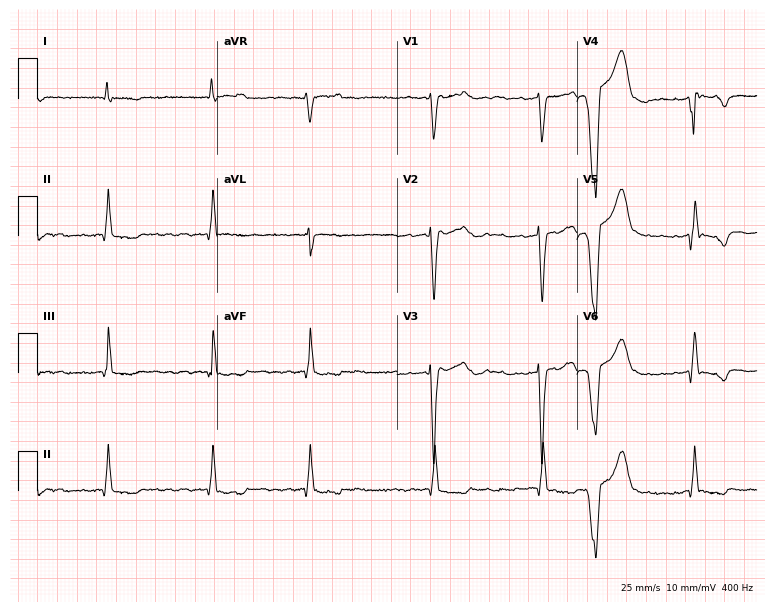
Resting 12-lead electrocardiogram. Patient: a 70-year-old female. The tracing shows atrial fibrillation.